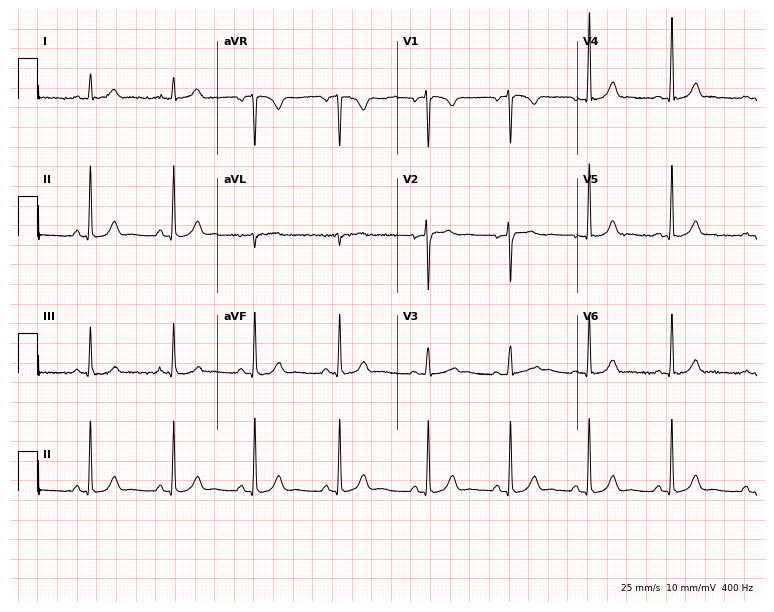
ECG — a 19-year-old woman. Screened for six findings — first-degree AV block, right bundle branch block, left bundle branch block, sinus bradycardia, atrial fibrillation, sinus tachycardia — none is recorded. Other findings, if any, are not listed.